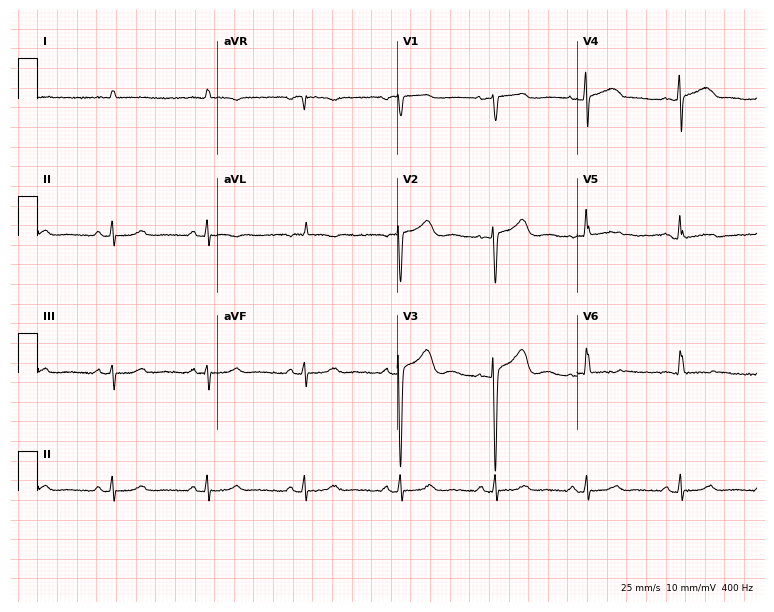
Resting 12-lead electrocardiogram (7.3-second recording at 400 Hz). Patient: a 79-year-old female. None of these six findings is recorded: first-degree AV block, right bundle branch block, left bundle branch block, sinus bradycardia, atrial fibrillation, sinus tachycardia.